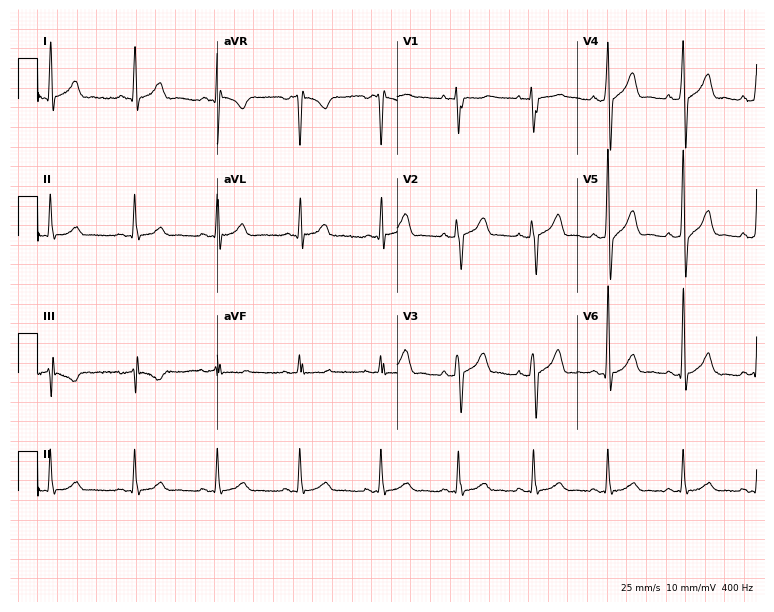
ECG — a male, 49 years old. Labelled as a normal ECG.